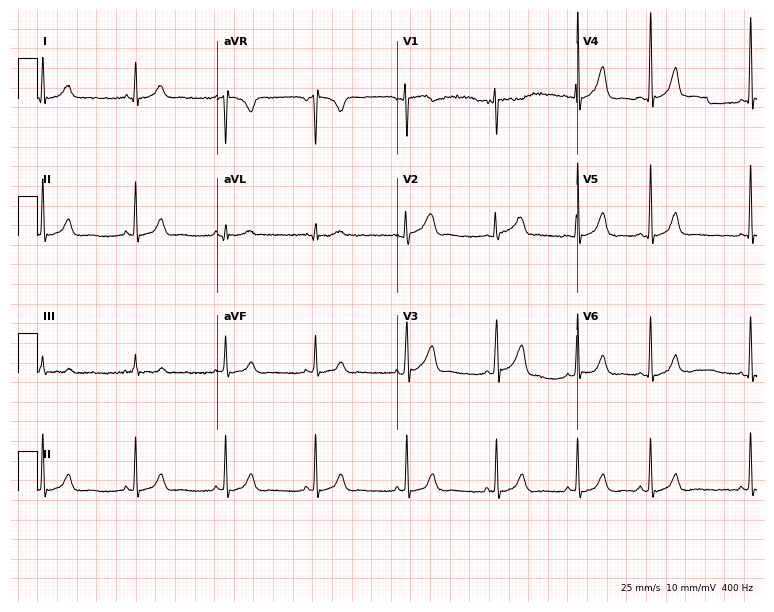
12-lead ECG (7.3-second recording at 400 Hz) from an 18-year-old female patient. Labelled as a normal ECG.